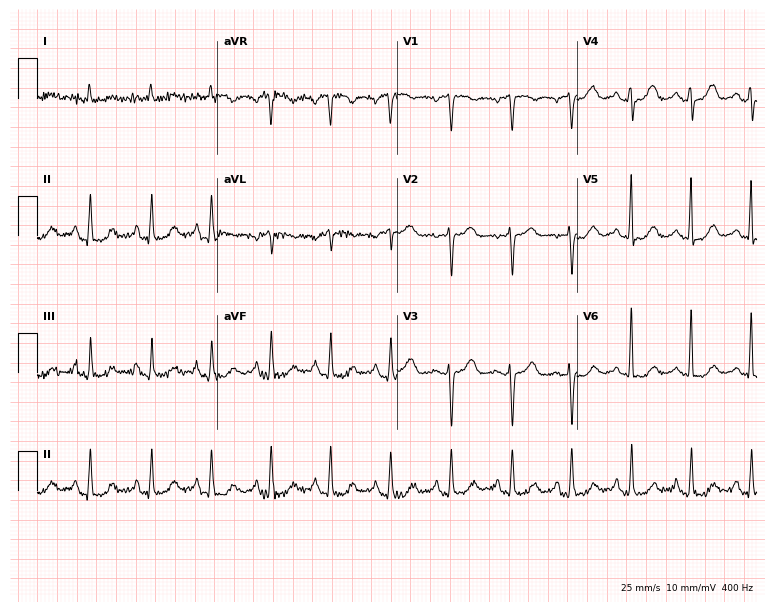
12-lead ECG from a female, 70 years old. Labelled as a normal ECG.